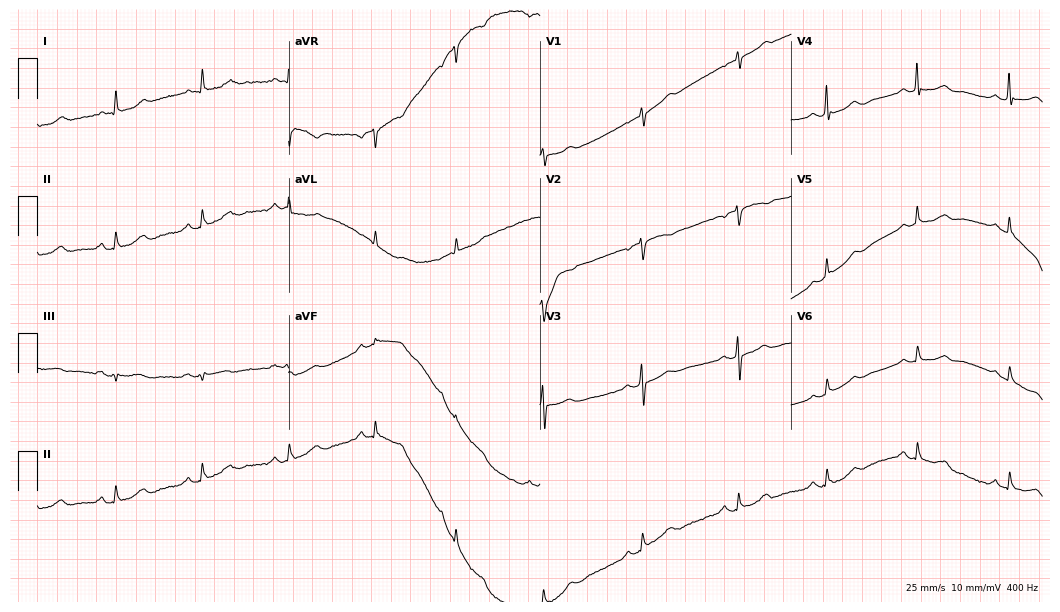
Resting 12-lead electrocardiogram. Patient: a 57-year-old woman. None of these six findings is recorded: first-degree AV block, right bundle branch block, left bundle branch block, sinus bradycardia, atrial fibrillation, sinus tachycardia.